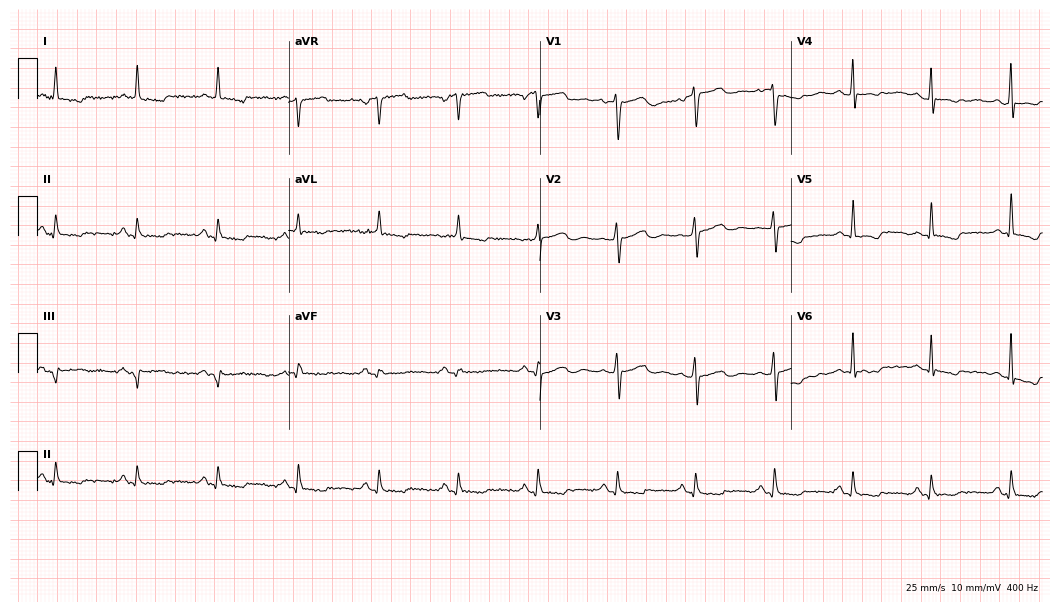
ECG — a 68-year-old female. Screened for six findings — first-degree AV block, right bundle branch block (RBBB), left bundle branch block (LBBB), sinus bradycardia, atrial fibrillation (AF), sinus tachycardia — none is recorded.